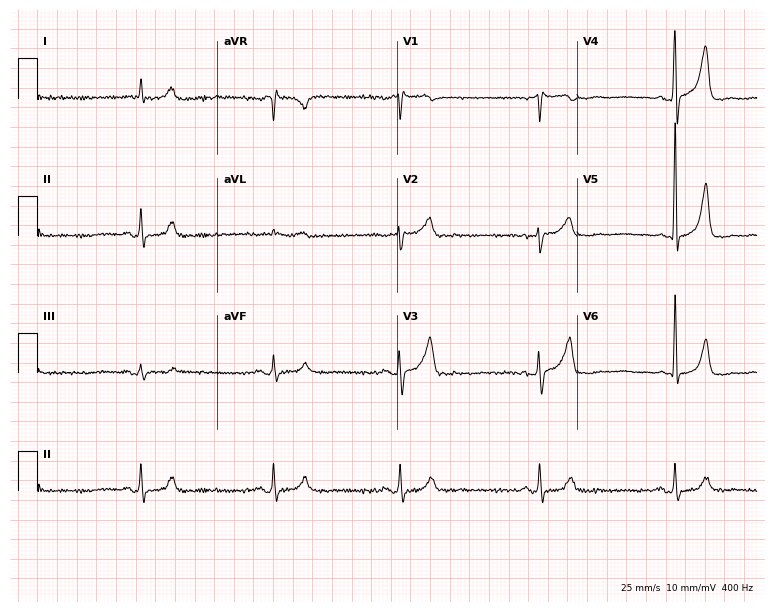
12-lead ECG from an 81-year-old male patient. Screened for six findings — first-degree AV block, right bundle branch block, left bundle branch block, sinus bradycardia, atrial fibrillation, sinus tachycardia — none is recorded. Other findings, if any, are not listed.